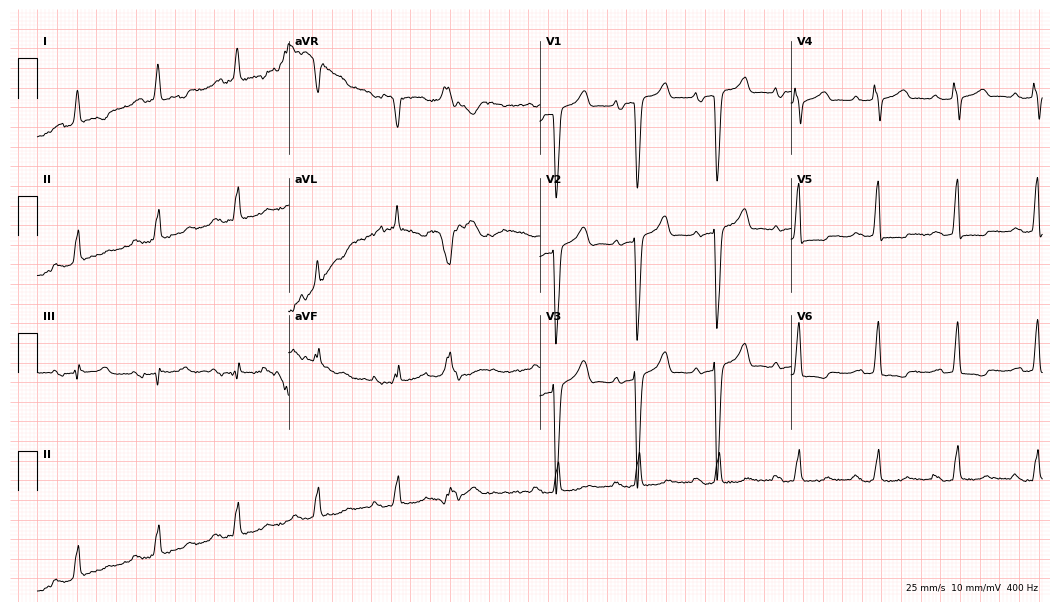
ECG — a male, 76 years old. Screened for six findings — first-degree AV block, right bundle branch block (RBBB), left bundle branch block (LBBB), sinus bradycardia, atrial fibrillation (AF), sinus tachycardia — none is recorded.